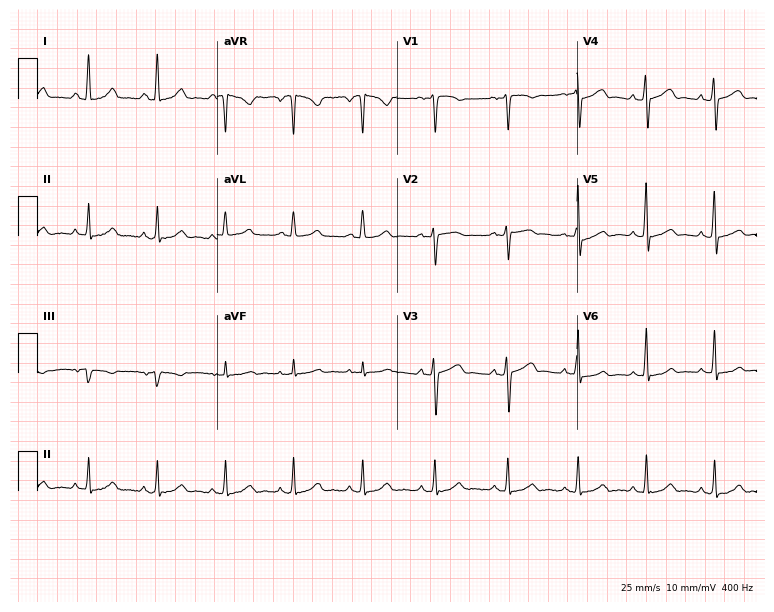
Electrocardiogram (7.3-second recording at 400 Hz), a 39-year-old female patient. Of the six screened findings (first-degree AV block, right bundle branch block, left bundle branch block, sinus bradycardia, atrial fibrillation, sinus tachycardia), none is recorded.